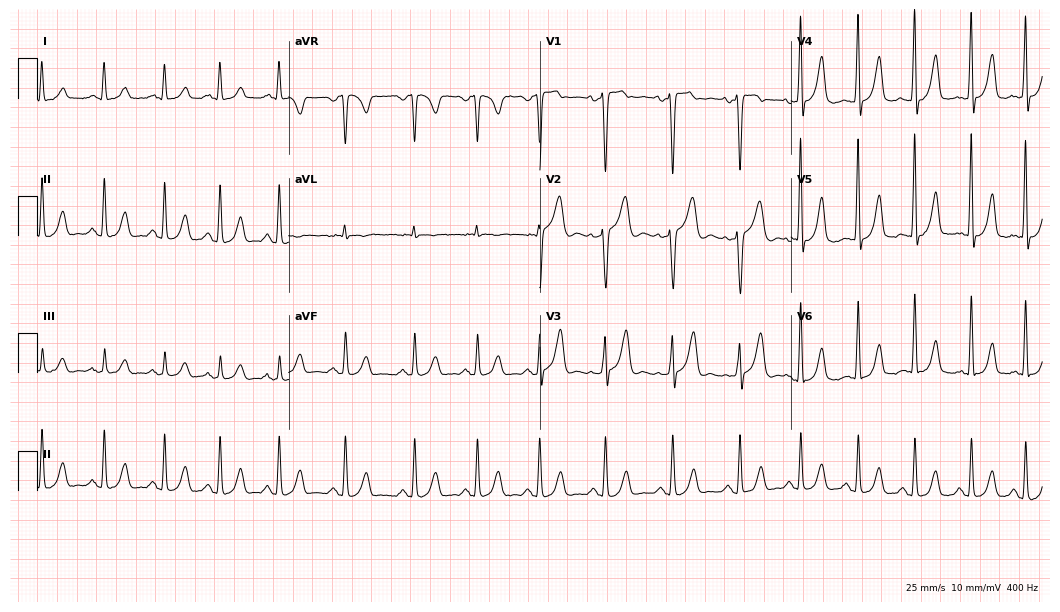
ECG (10.2-second recording at 400 Hz) — a 37-year-old woman. Labelled as a normal ECG.